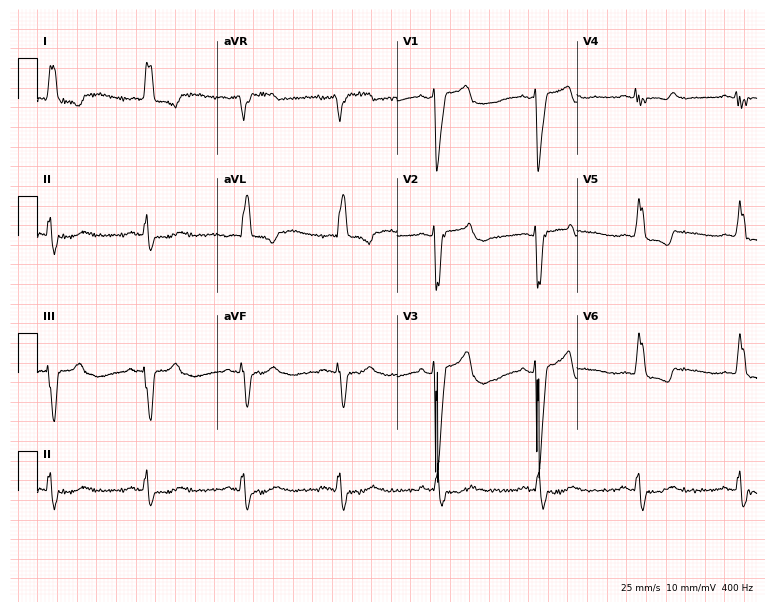
Standard 12-lead ECG recorded from a female, 82 years old. None of these six findings is recorded: first-degree AV block, right bundle branch block (RBBB), left bundle branch block (LBBB), sinus bradycardia, atrial fibrillation (AF), sinus tachycardia. Only these six findings were labelled.